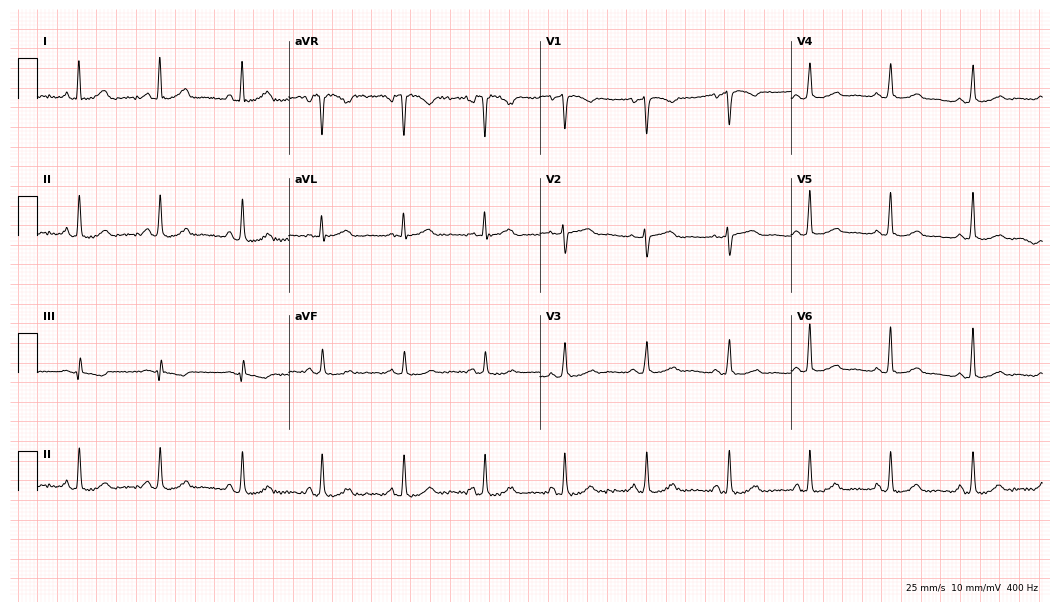
Standard 12-lead ECG recorded from a 61-year-old female (10.2-second recording at 400 Hz). Read as a normal ECG.